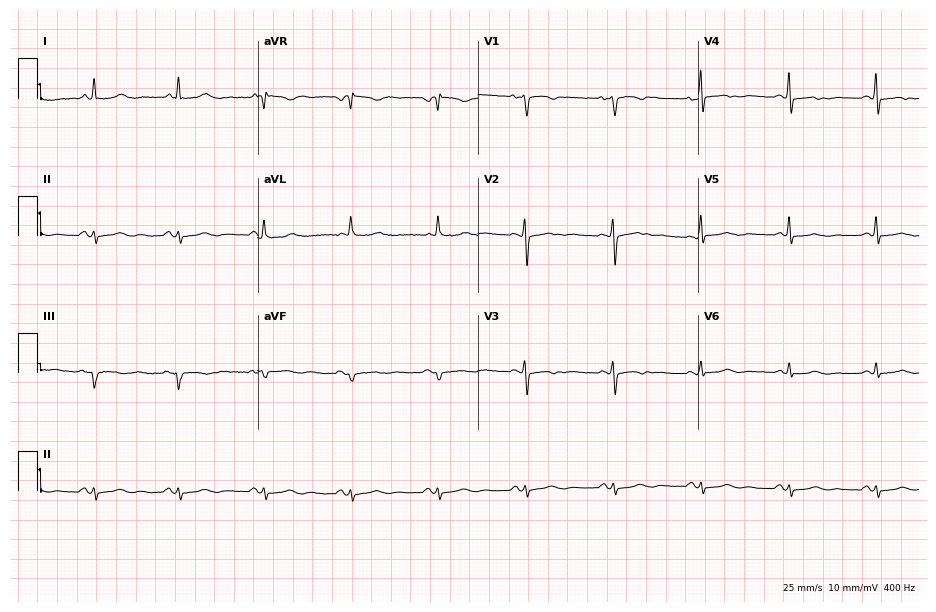
ECG — a 61-year-old female. Screened for six findings — first-degree AV block, right bundle branch block (RBBB), left bundle branch block (LBBB), sinus bradycardia, atrial fibrillation (AF), sinus tachycardia — none is recorded.